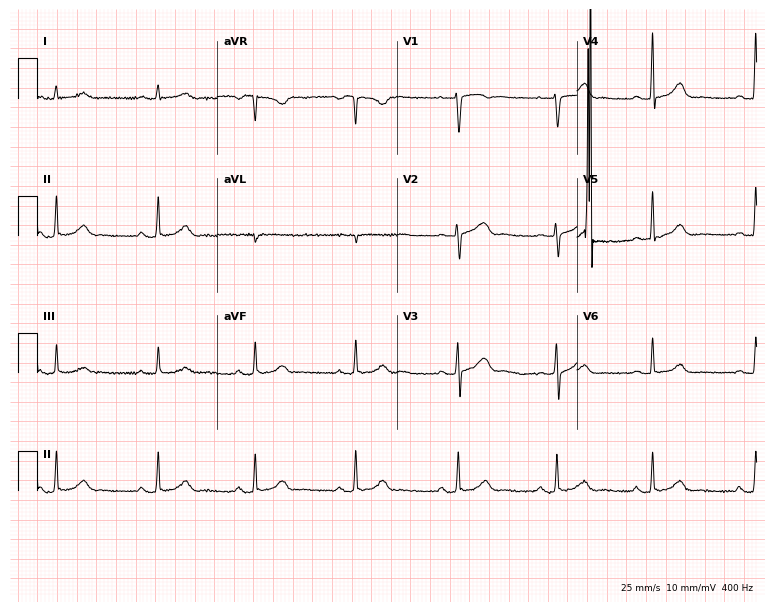
Resting 12-lead electrocardiogram (7.3-second recording at 400 Hz). Patient: a female, 34 years old. Read as a normal ECG.